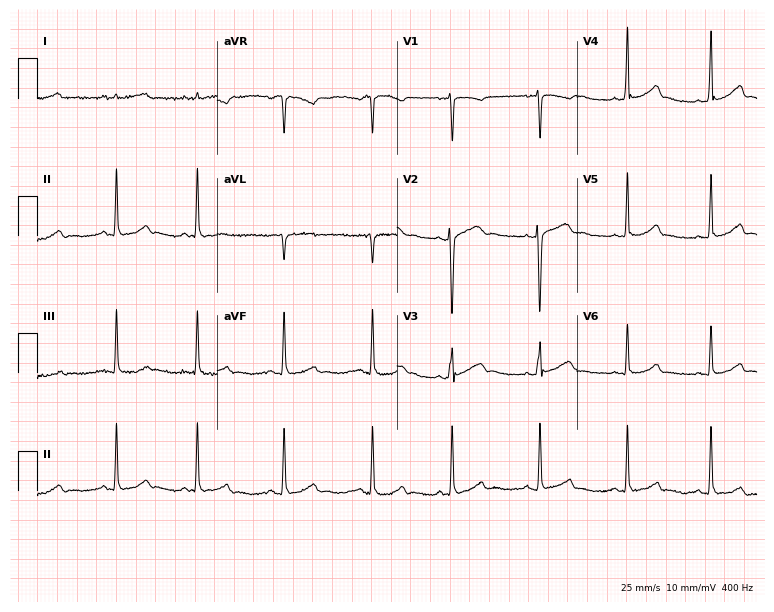
Electrocardiogram, a female, 19 years old. Overall reading on record: normal ECG.